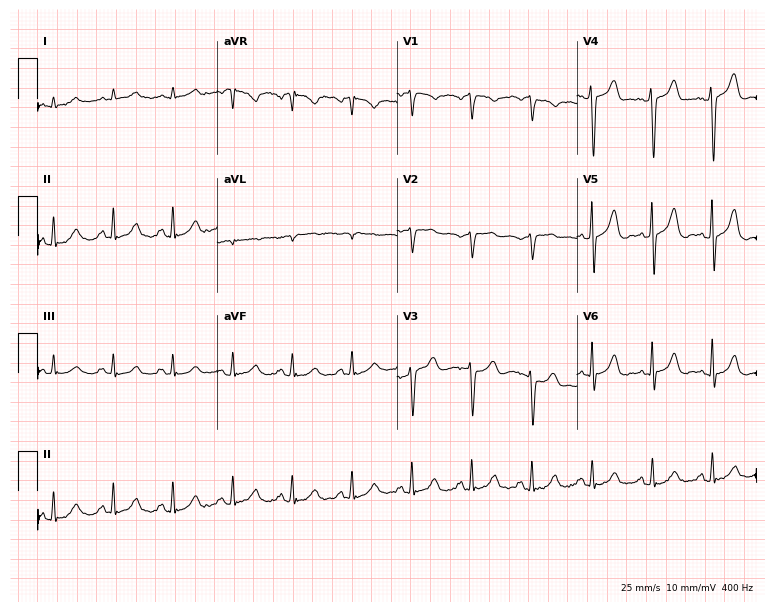
Resting 12-lead electrocardiogram (7.3-second recording at 400 Hz). Patient: a female, 58 years old. None of these six findings is recorded: first-degree AV block, right bundle branch block, left bundle branch block, sinus bradycardia, atrial fibrillation, sinus tachycardia.